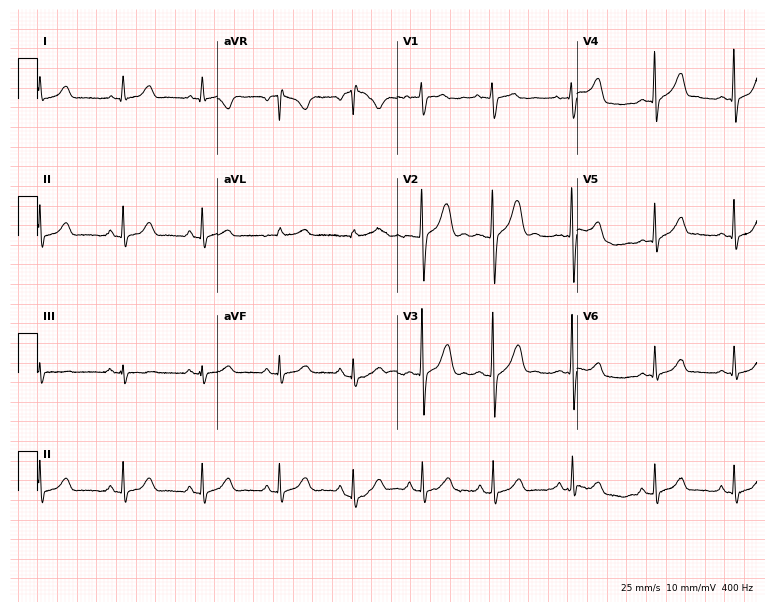
12-lead ECG (7.3-second recording at 400 Hz) from a woman, 18 years old. Labelled as a normal ECG.